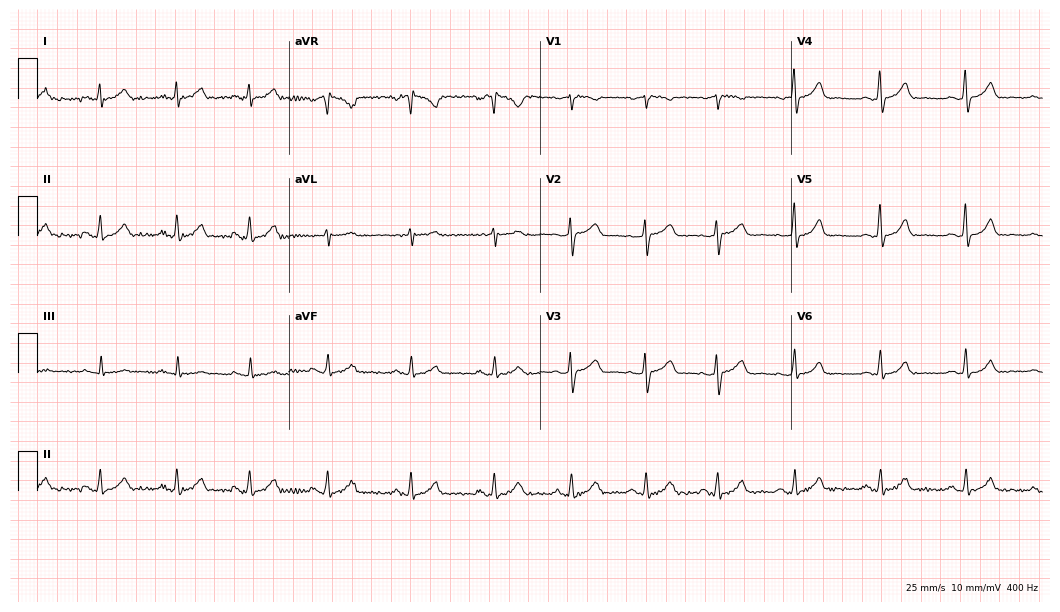
Resting 12-lead electrocardiogram (10.2-second recording at 400 Hz). Patient: a female, 34 years old. None of these six findings is recorded: first-degree AV block, right bundle branch block (RBBB), left bundle branch block (LBBB), sinus bradycardia, atrial fibrillation (AF), sinus tachycardia. Findings outside these six are not listed.